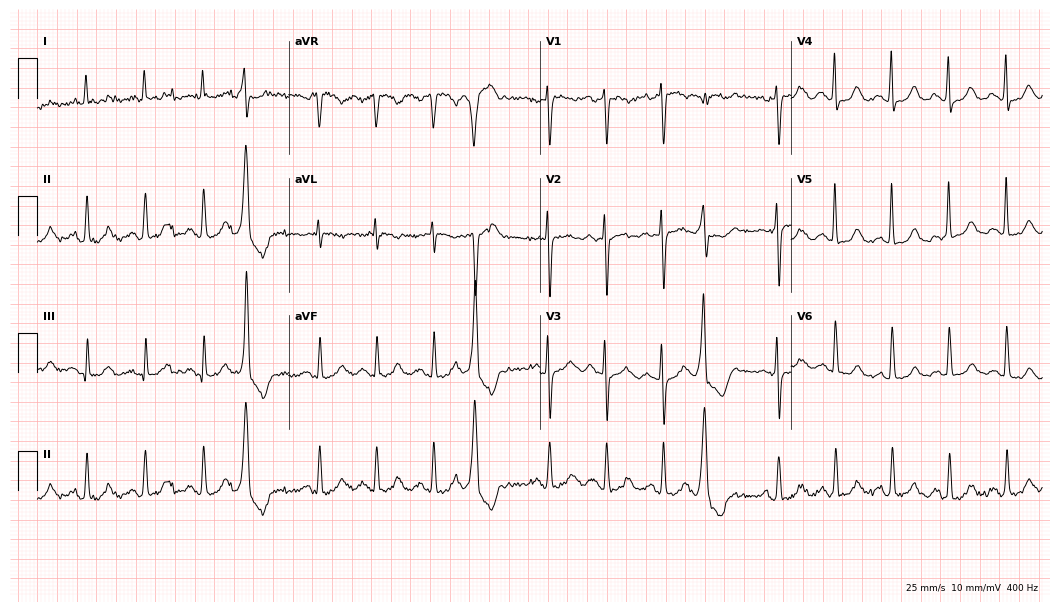
Electrocardiogram, a 77-year-old female patient. Interpretation includes sinus tachycardia (a sinus rate of 100 beats per minute or more).